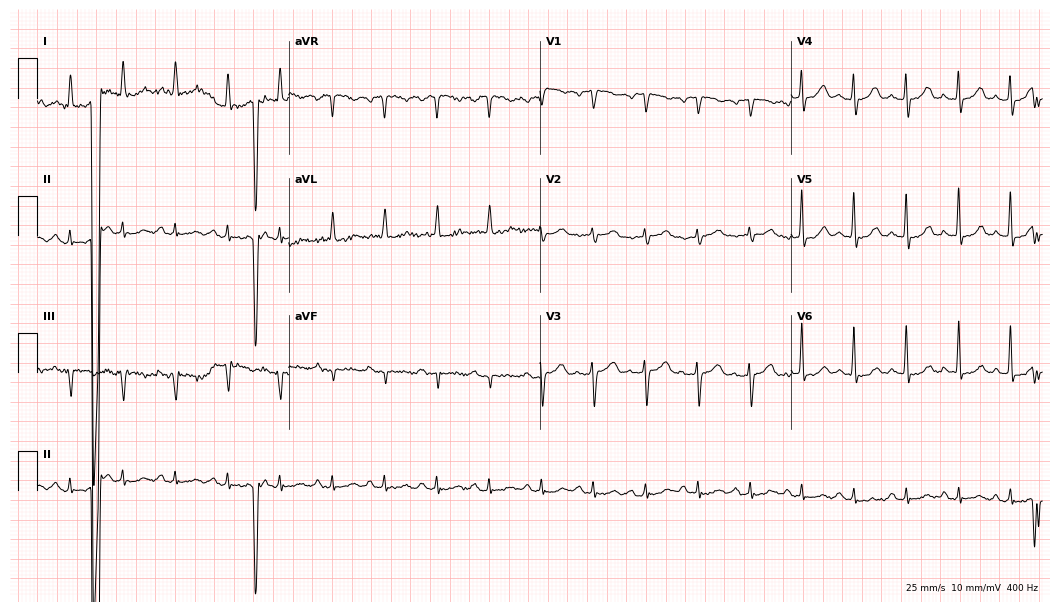
Resting 12-lead electrocardiogram (10.2-second recording at 400 Hz). Patient: a female, 76 years old. None of these six findings is recorded: first-degree AV block, right bundle branch block, left bundle branch block, sinus bradycardia, atrial fibrillation, sinus tachycardia. Only these six findings were labelled.